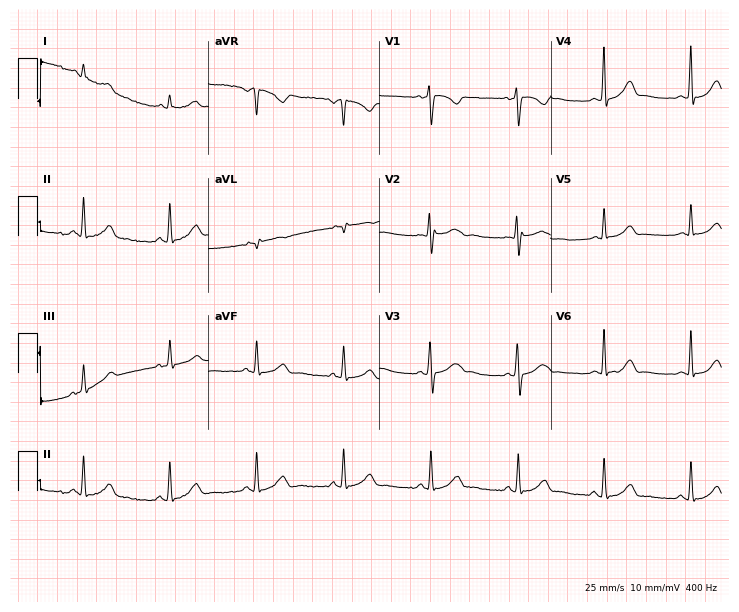
Standard 12-lead ECG recorded from a female patient, 39 years old (7-second recording at 400 Hz). Read as a normal ECG.